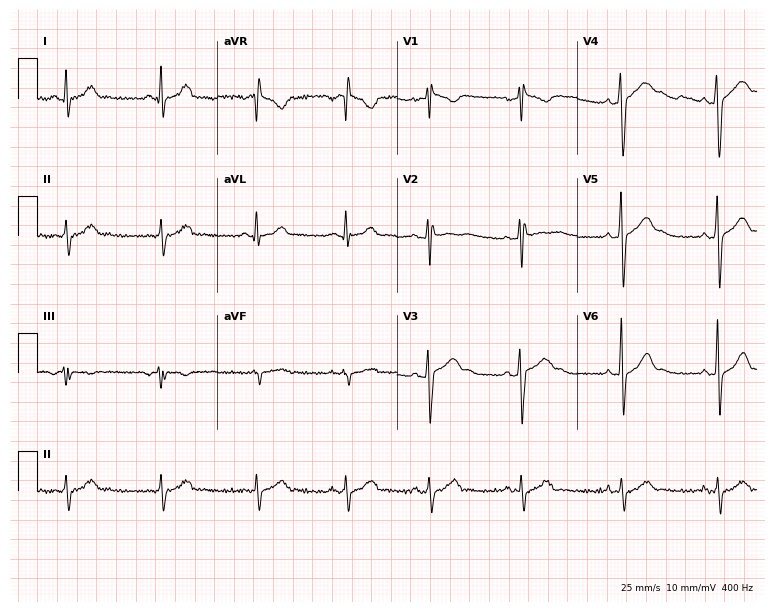
12-lead ECG from a 27-year-old man (7.3-second recording at 400 Hz). No first-degree AV block, right bundle branch block (RBBB), left bundle branch block (LBBB), sinus bradycardia, atrial fibrillation (AF) or sinus tachycardia recorded for this tracing. Only these six findings were labelled.